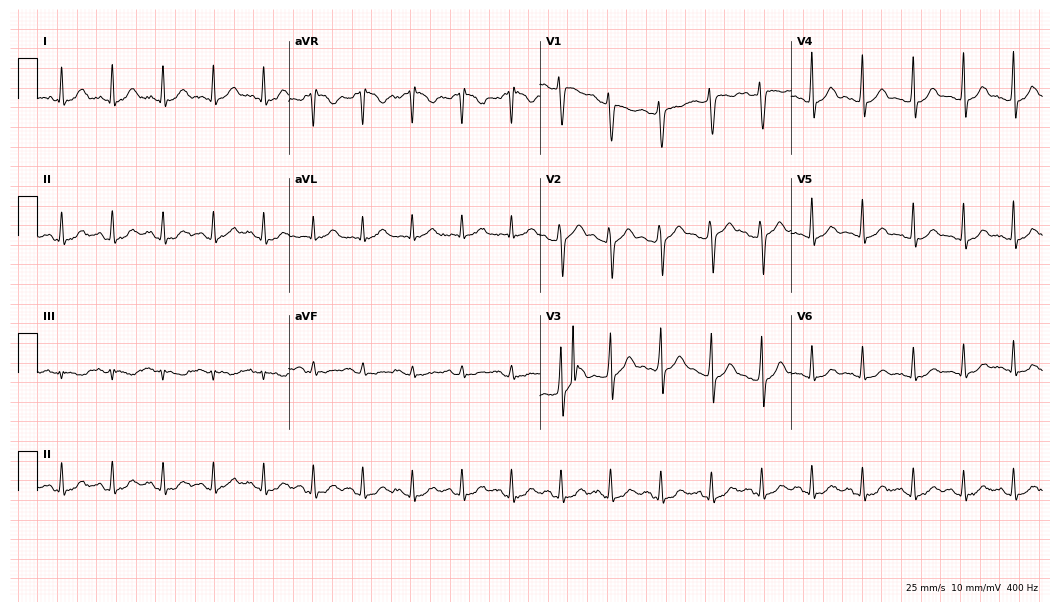
Standard 12-lead ECG recorded from a man, 35 years old (10.2-second recording at 400 Hz). The tracing shows sinus tachycardia (a sinus rate of 100 beats per minute or more).